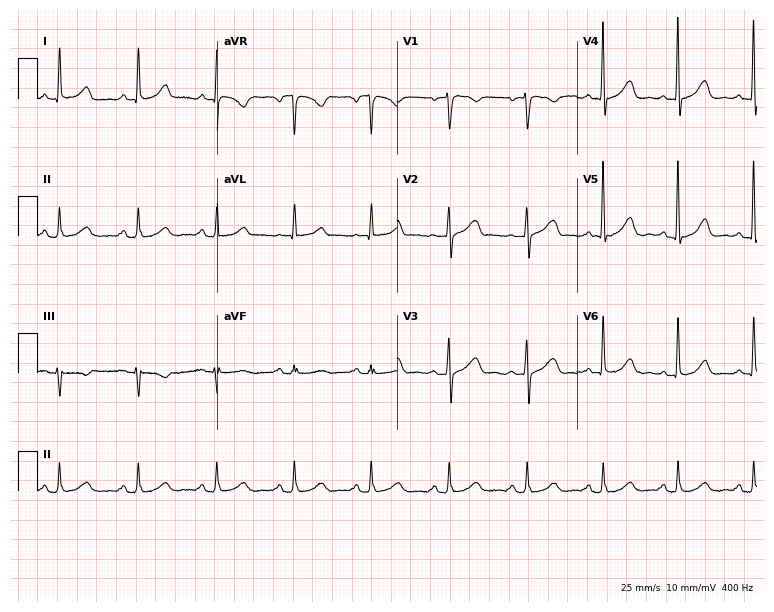
12-lead ECG (7.3-second recording at 400 Hz) from a 63-year-old female. Labelled as a normal ECG.